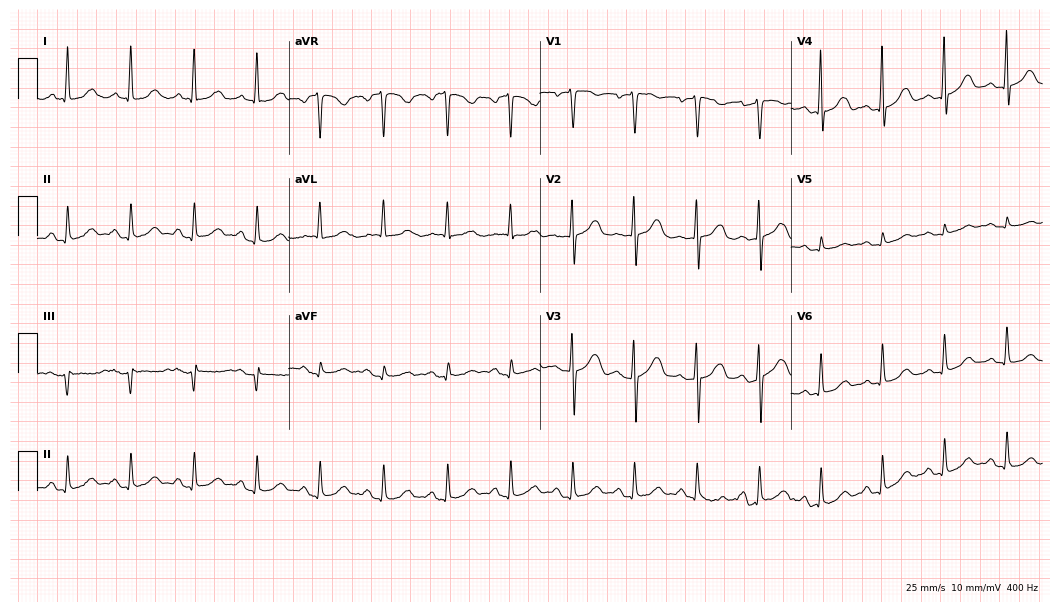
12-lead ECG from a 58-year-old female patient. Screened for six findings — first-degree AV block, right bundle branch block, left bundle branch block, sinus bradycardia, atrial fibrillation, sinus tachycardia — none is recorded. Only these six findings were labelled.